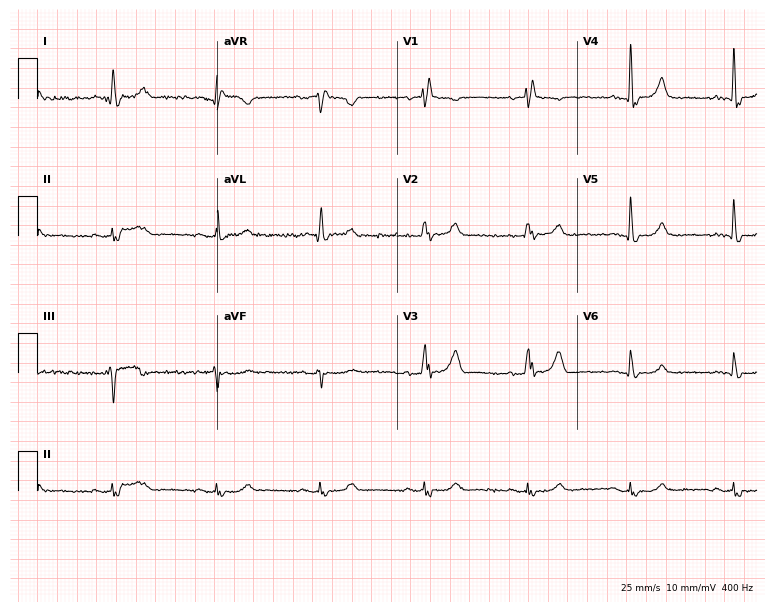
12-lead ECG from a 71-year-old male (7.3-second recording at 400 Hz). No first-degree AV block, right bundle branch block, left bundle branch block, sinus bradycardia, atrial fibrillation or sinus tachycardia recorded for this tracing.